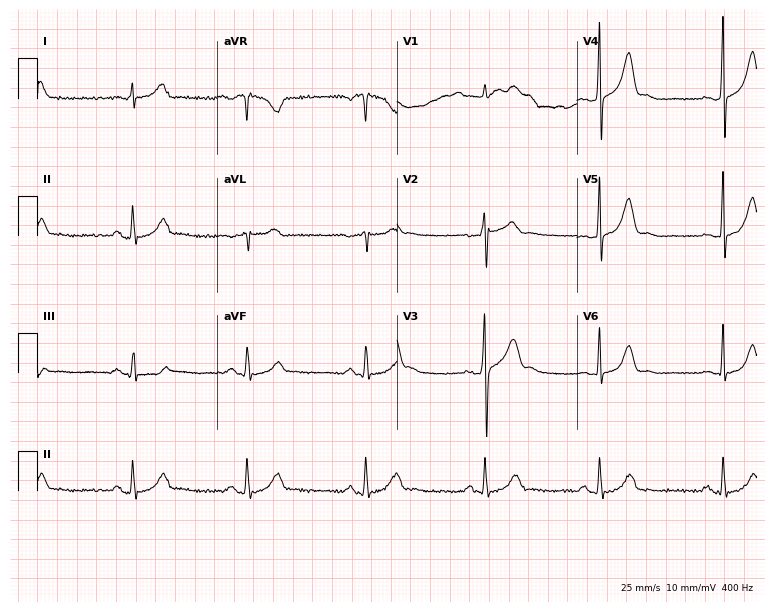
12-lead ECG from a male patient, 34 years old. No first-degree AV block, right bundle branch block (RBBB), left bundle branch block (LBBB), sinus bradycardia, atrial fibrillation (AF) or sinus tachycardia recorded for this tracing.